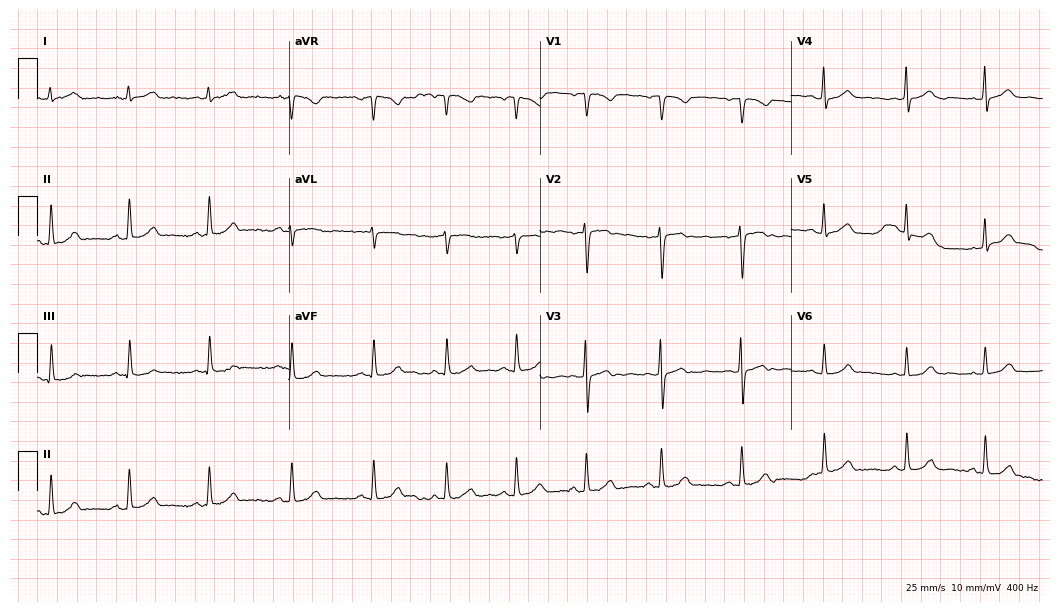
Standard 12-lead ECG recorded from a 35-year-old woman (10.2-second recording at 400 Hz). Read as a normal ECG.